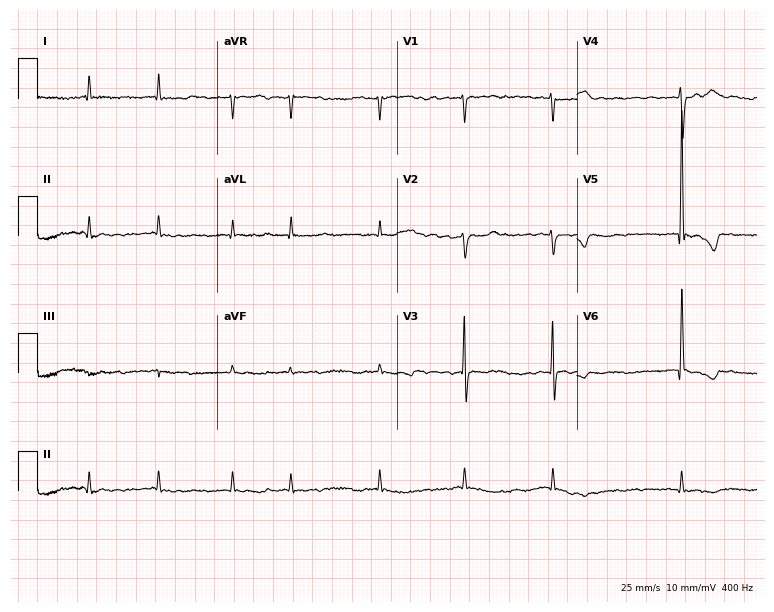
Electrocardiogram (7.3-second recording at 400 Hz), a female, 80 years old. Interpretation includes atrial fibrillation.